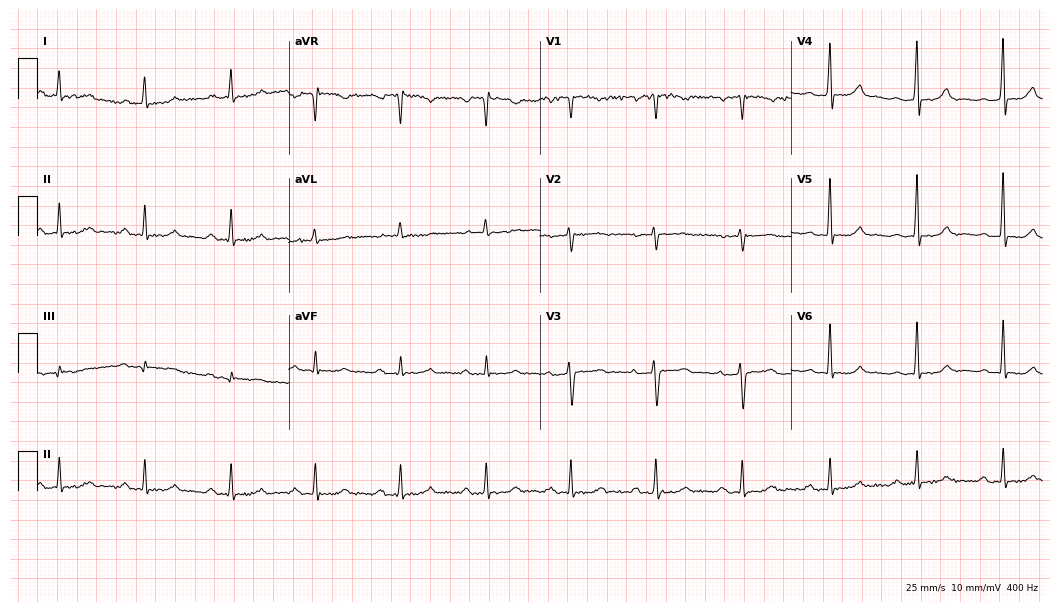
ECG (10.2-second recording at 400 Hz) — a 57-year-old woman. Findings include first-degree AV block.